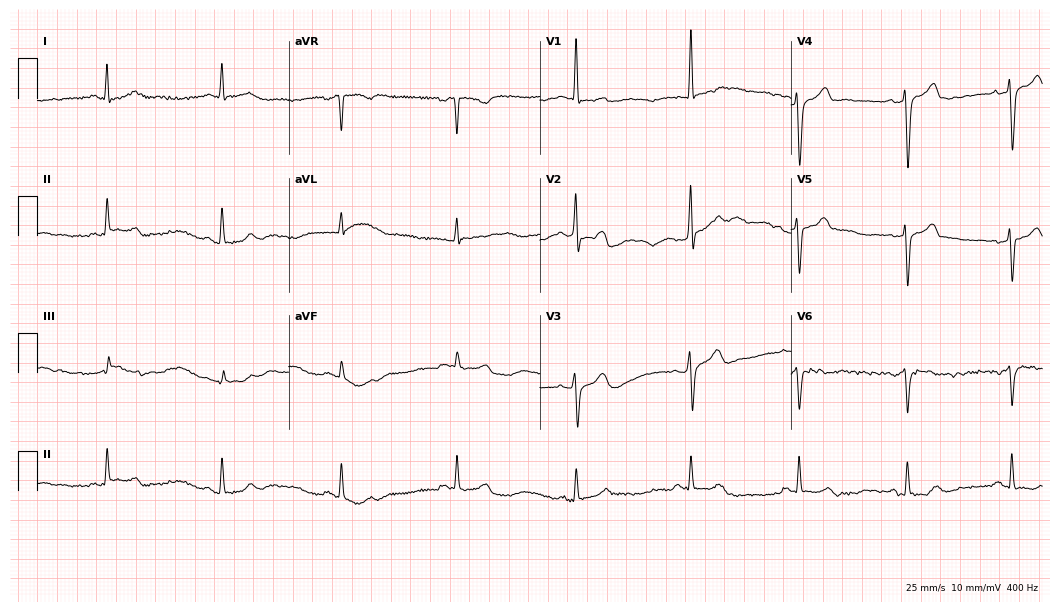
Standard 12-lead ECG recorded from a male patient, 42 years old (10.2-second recording at 400 Hz). None of these six findings is recorded: first-degree AV block, right bundle branch block, left bundle branch block, sinus bradycardia, atrial fibrillation, sinus tachycardia.